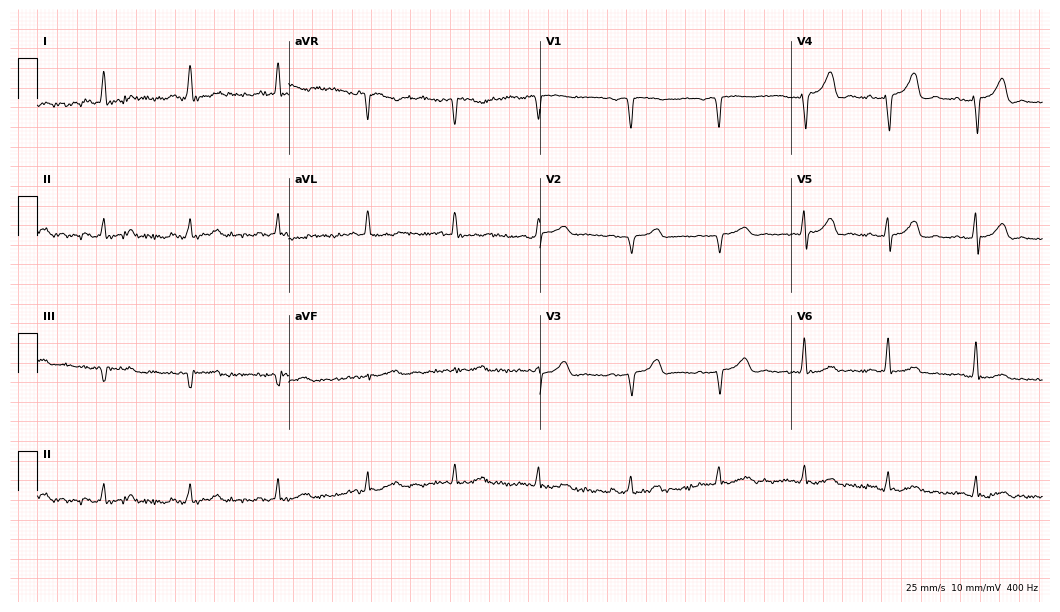
12-lead ECG (10.2-second recording at 400 Hz) from a 54-year-old female. Screened for six findings — first-degree AV block, right bundle branch block, left bundle branch block, sinus bradycardia, atrial fibrillation, sinus tachycardia — none is recorded. Findings outside these six are not listed.